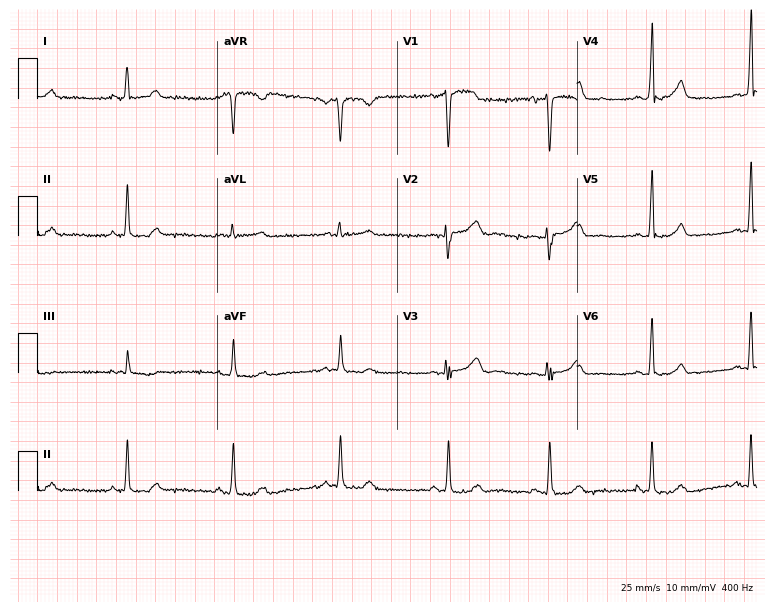
12-lead ECG (7.3-second recording at 400 Hz) from a female, 31 years old. Labelled as a normal ECG.